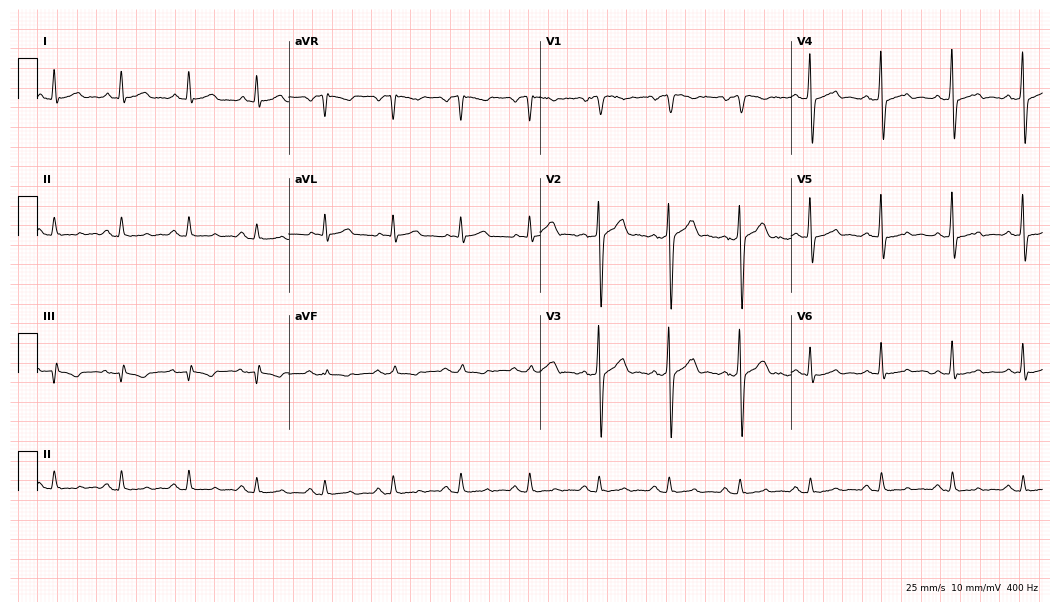
Electrocardiogram (10.2-second recording at 400 Hz), a man, 53 years old. Overall reading on record: normal ECG.